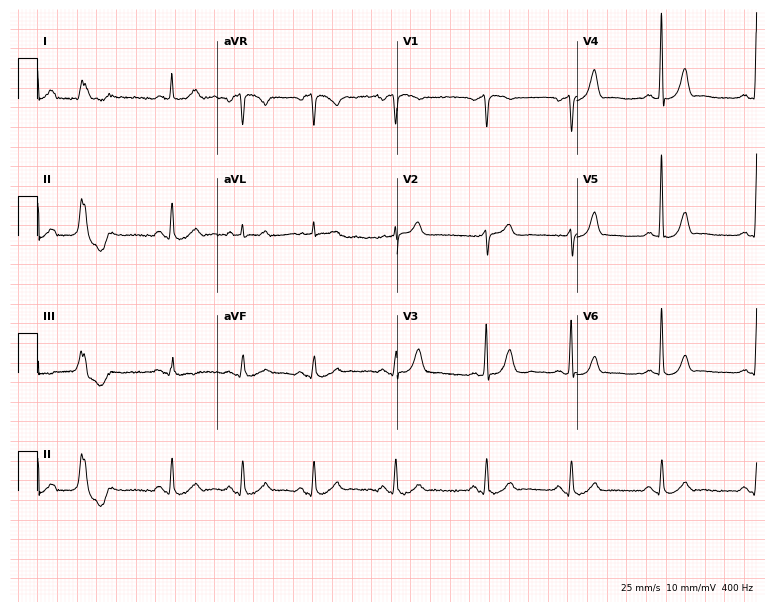
12-lead ECG from a male, 73 years old. Screened for six findings — first-degree AV block, right bundle branch block (RBBB), left bundle branch block (LBBB), sinus bradycardia, atrial fibrillation (AF), sinus tachycardia — none is recorded.